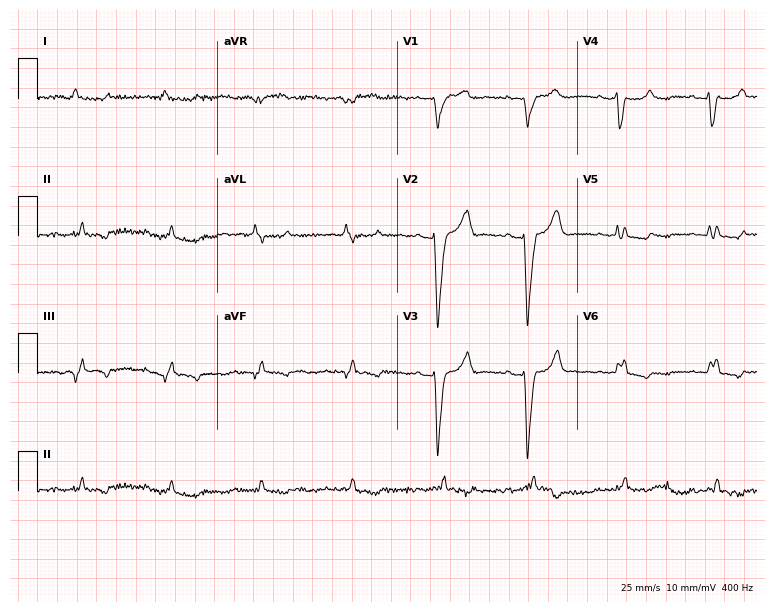
12-lead ECG (7.3-second recording at 400 Hz) from a man, 83 years old. Screened for six findings — first-degree AV block, right bundle branch block, left bundle branch block, sinus bradycardia, atrial fibrillation, sinus tachycardia — none is recorded.